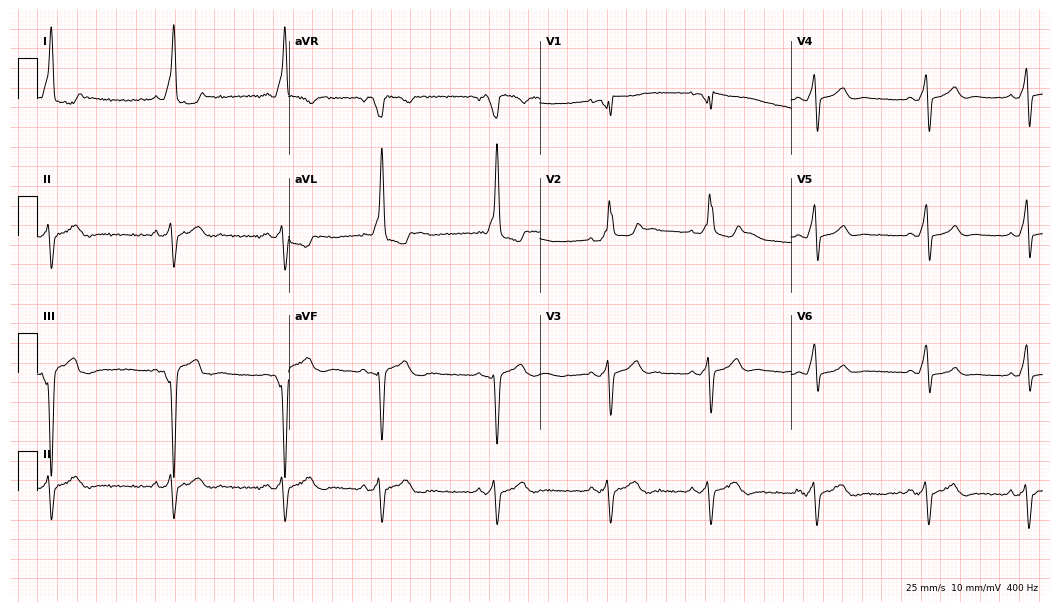
12-lead ECG (10.2-second recording at 400 Hz) from a 27-year-old female patient. Screened for six findings — first-degree AV block, right bundle branch block, left bundle branch block, sinus bradycardia, atrial fibrillation, sinus tachycardia — none is recorded. Only these six findings were labelled.